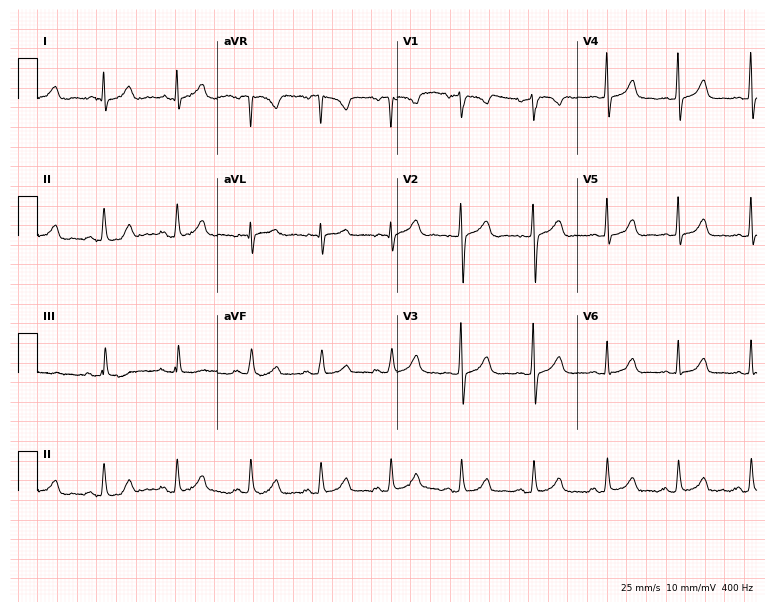
ECG — a 26-year-old female patient. Labelled as a normal ECG.